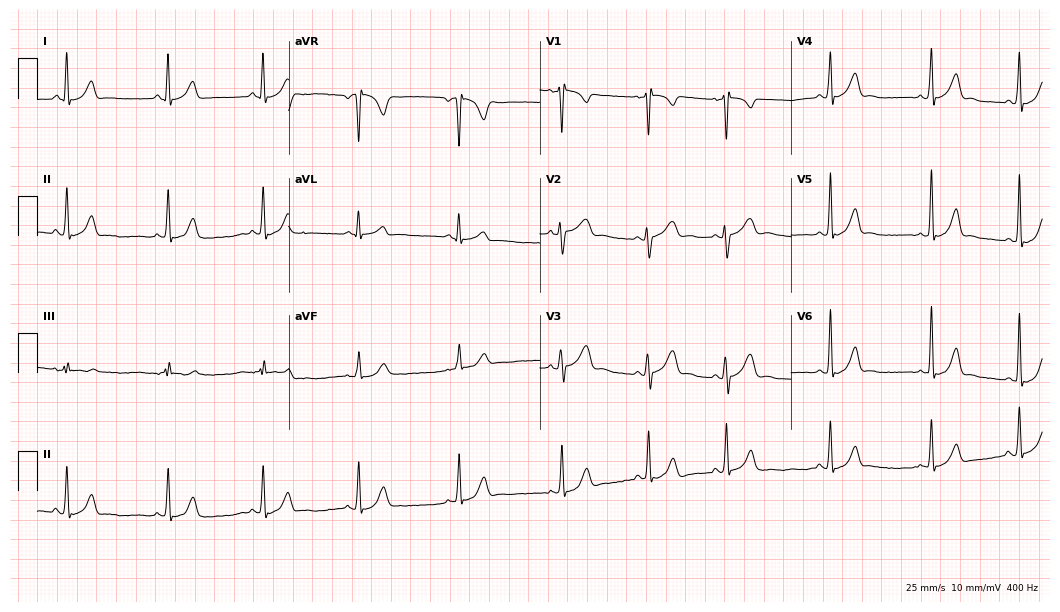
Resting 12-lead electrocardiogram. Patient: a female, 17 years old. Read as a normal ECG.